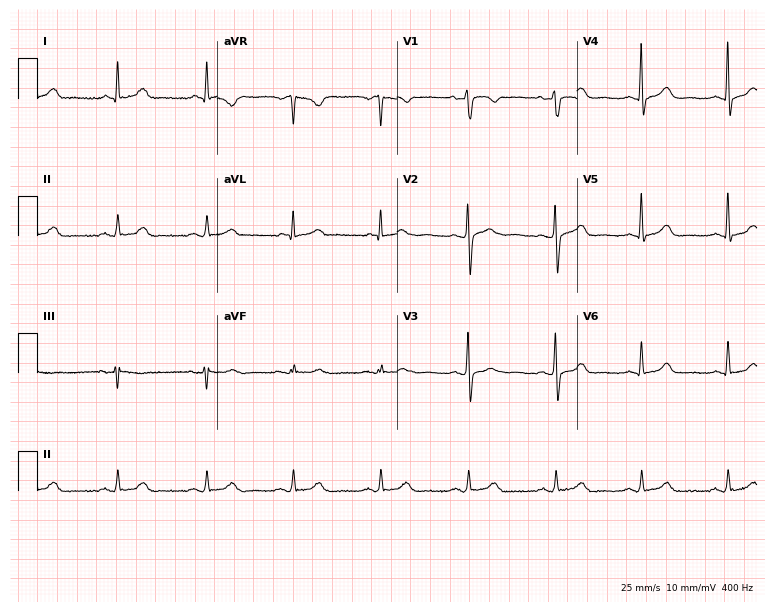
Electrocardiogram, a 44-year-old woman. Overall reading on record: normal ECG.